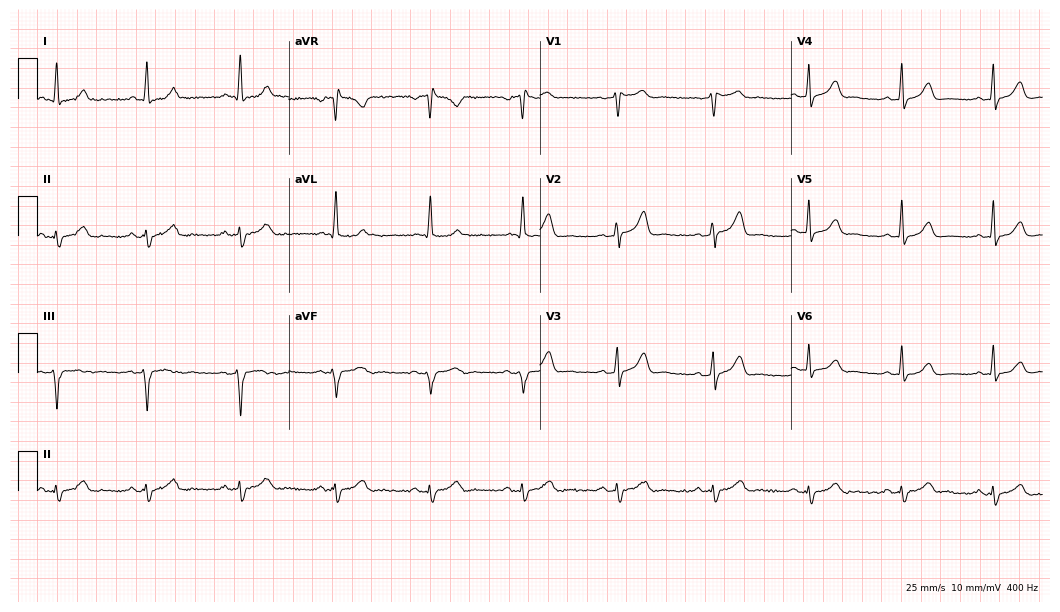
Standard 12-lead ECG recorded from a male, 46 years old (10.2-second recording at 400 Hz). None of these six findings is recorded: first-degree AV block, right bundle branch block (RBBB), left bundle branch block (LBBB), sinus bradycardia, atrial fibrillation (AF), sinus tachycardia. Other findings, if any, are not listed.